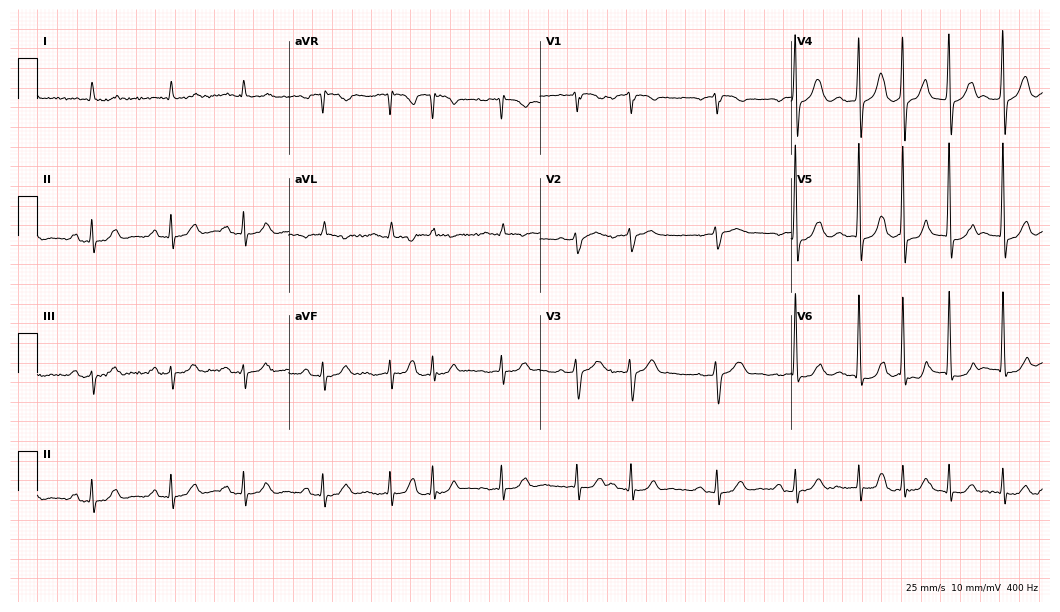
ECG (10.2-second recording at 400 Hz) — a male patient, 78 years old. Labelled as a normal ECG.